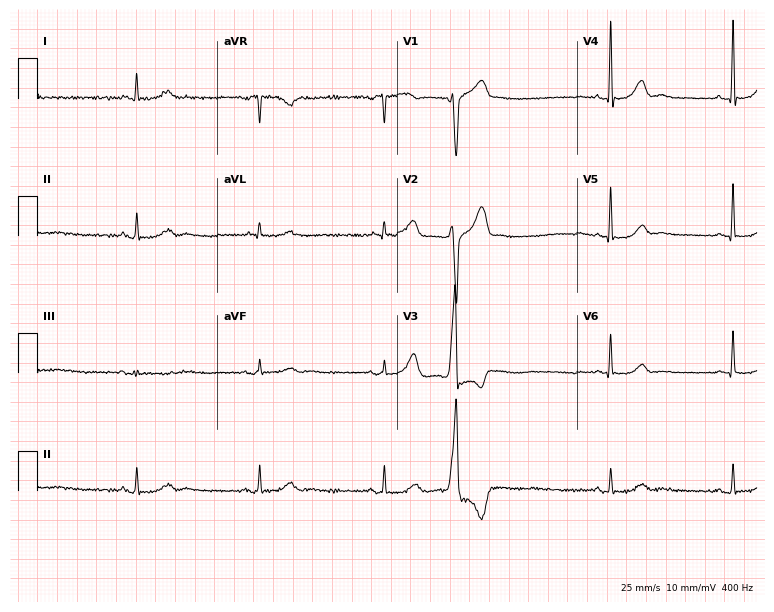
Standard 12-lead ECG recorded from a 72-year-old female patient (7.3-second recording at 400 Hz). None of these six findings is recorded: first-degree AV block, right bundle branch block (RBBB), left bundle branch block (LBBB), sinus bradycardia, atrial fibrillation (AF), sinus tachycardia.